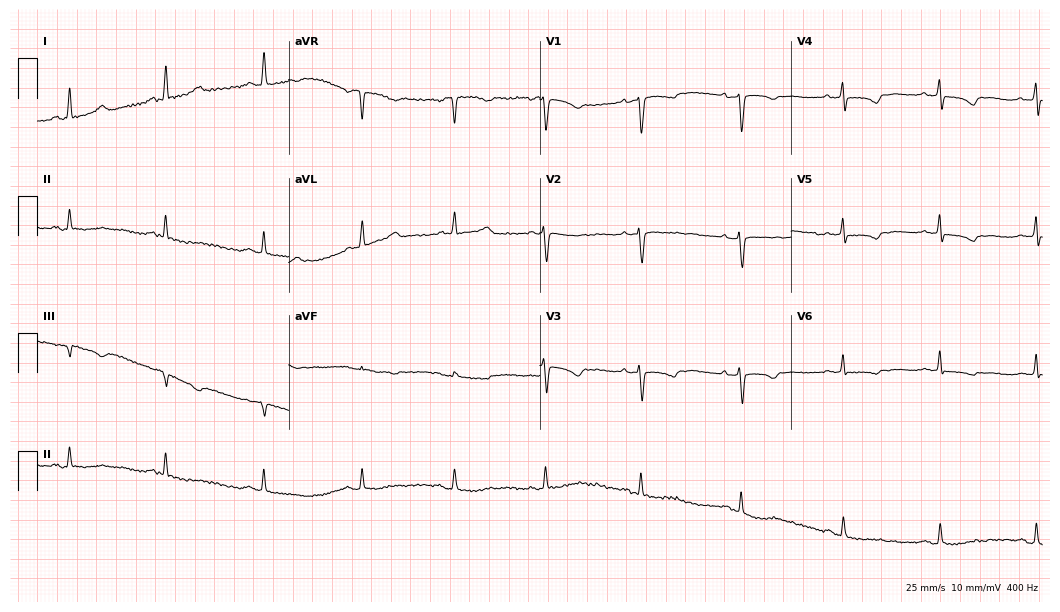
12-lead ECG from a female, 57 years old. No first-degree AV block, right bundle branch block, left bundle branch block, sinus bradycardia, atrial fibrillation or sinus tachycardia recorded for this tracing. Only these six findings were labelled.